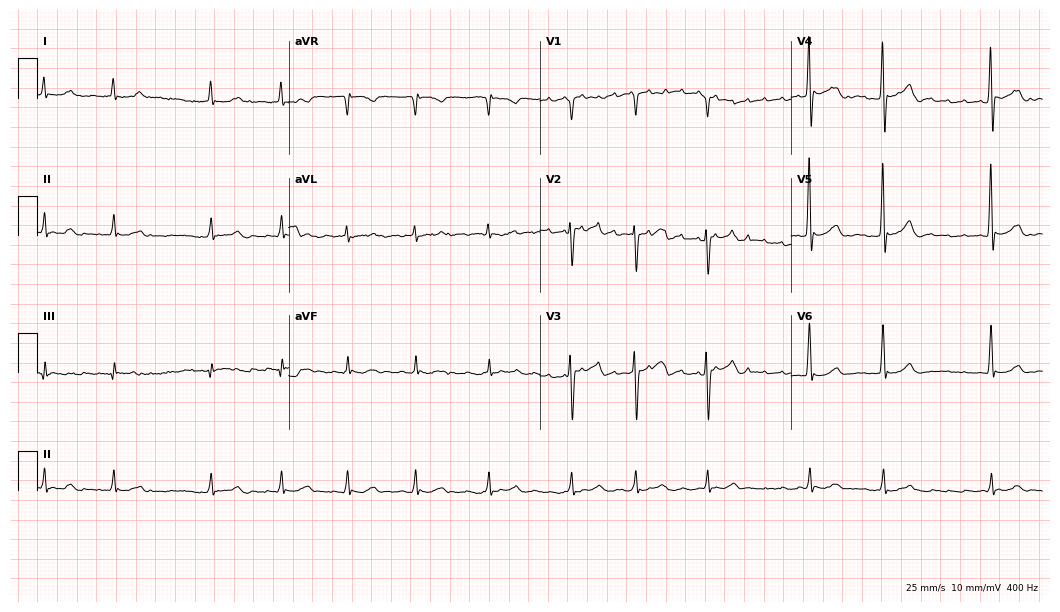
Resting 12-lead electrocardiogram (10.2-second recording at 400 Hz). Patient: a male, 79 years old. The tracing shows atrial fibrillation.